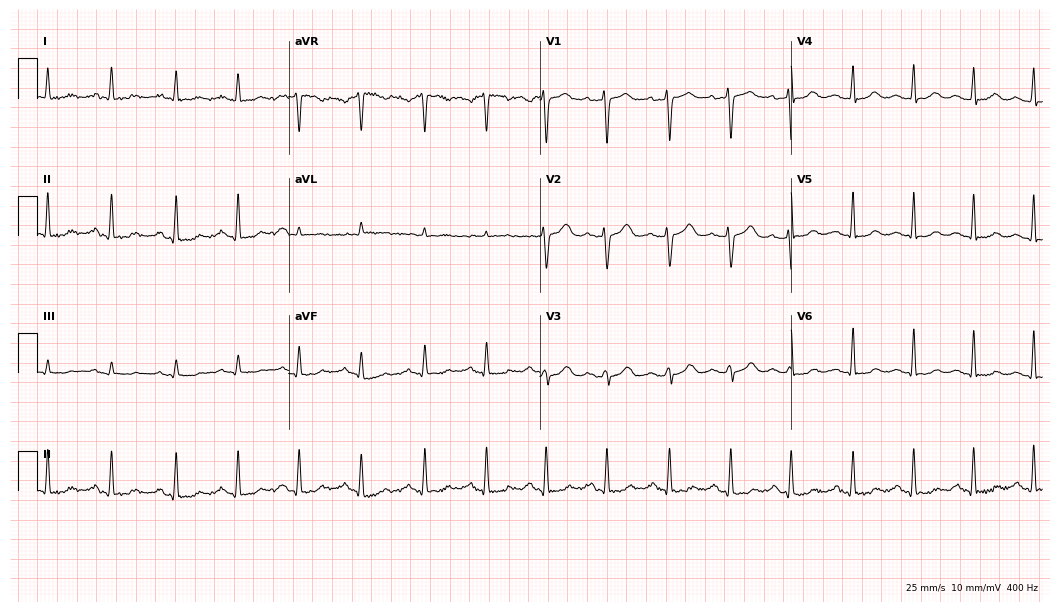
ECG (10.2-second recording at 400 Hz) — a woman, 40 years old. Screened for six findings — first-degree AV block, right bundle branch block, left bundle branch block, sinus bradycardia, atrial fibrillation, sinus tachycardia — none is recorded. Other findings, if any, are not listed.